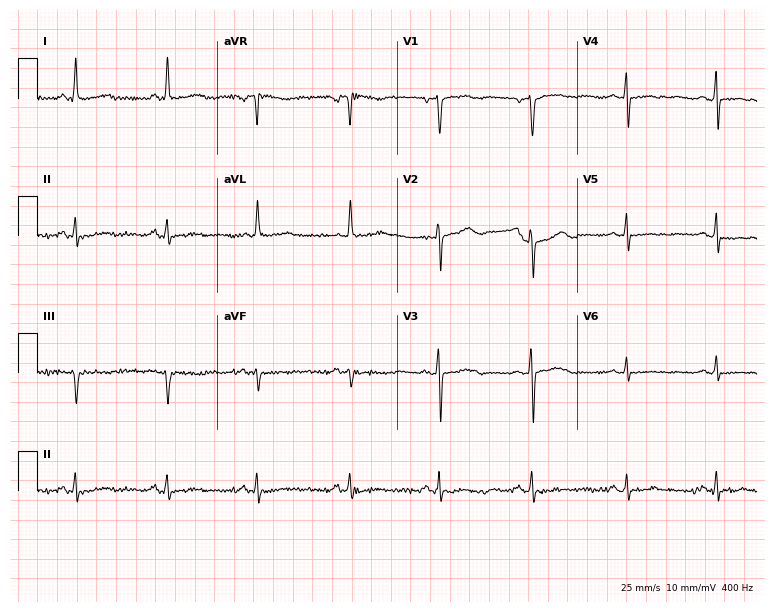
Electrocardiogram, a female, 66 years old. Of the six screened findings (first-degree AV block, right bundle branch block, left bundle branch block, sinus bradycardia, atrial fibrillation, sinus tachycardia), none is recorded.